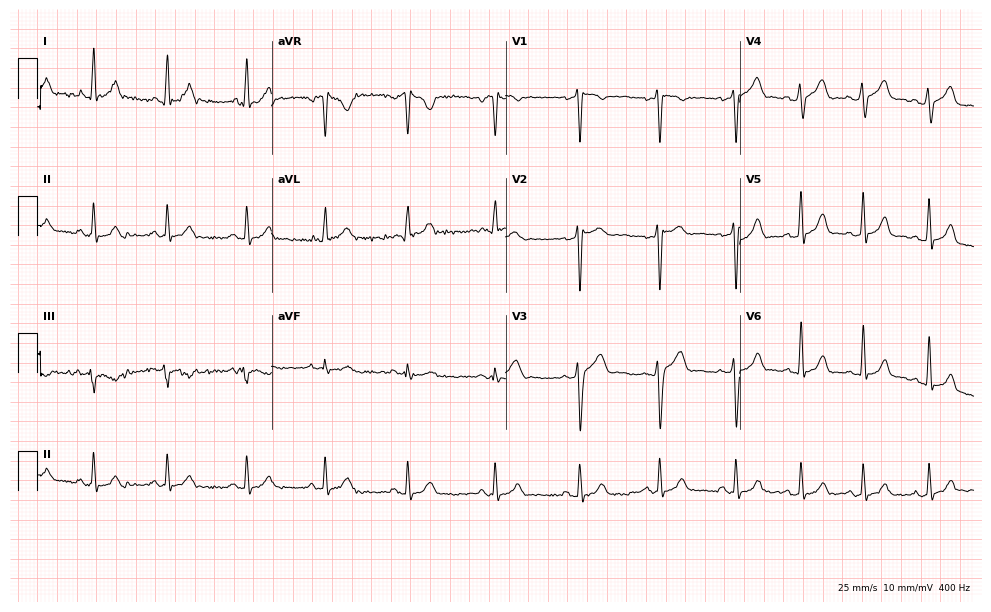
12-lead ECG from a male patient, 26 years old. Recorded interpretation: within normal limits.